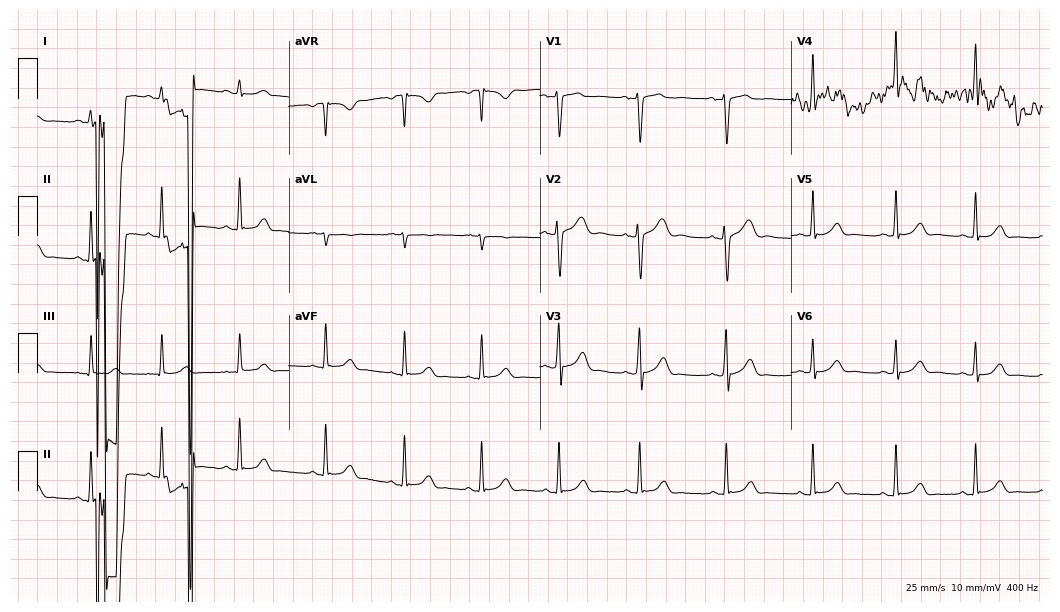
Standard 12-lead ECG recorded from a female, 20 years old (10.2-second recording at 400 Hz). None of these six findings is recorded: first-degree AV block, right bundle branch block (RBBB), left bundle branch block (LBBB), sinus bradycardia, atrial fibrillation (AF), sinus tachycardia.